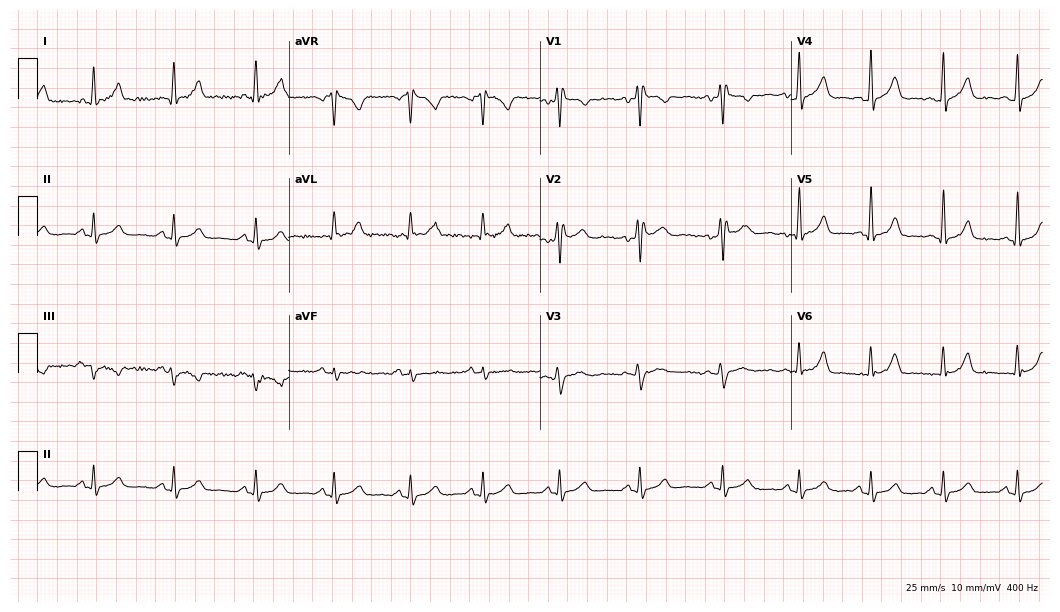
Standard 12-lead ECG recorded from a 26-year-old male. None of these six findings is recorded: first-degree AV block, right bundle branch block, left bundle branch block, sinus bradycardia, atrial fibrillation, sinus tachycardia.